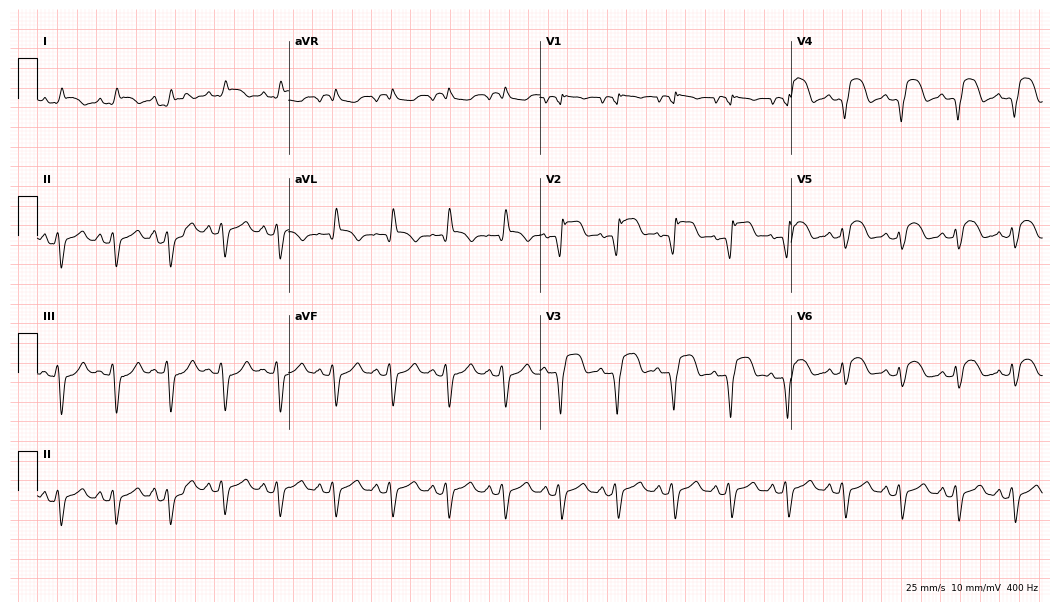
12-lead ECG (10.2-second recording at 400 Hz) from a 35-year-old male patient. Screened for six findings — first-degree AV block, right bundle branch block, left bundle branch block, sinus bradycardia, atrial fibrillation, sinus tachycardia — none is recorded.